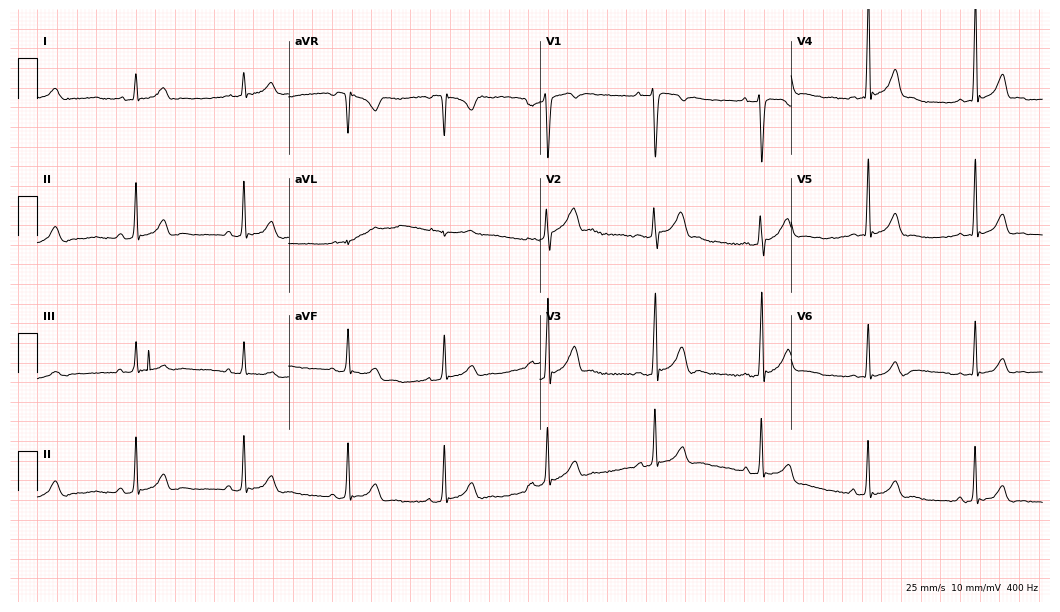
Standard 12-lead ECG recorded from an 18-year-old male (10.2-second recording at 400 Hz). Read as a normal ECG.